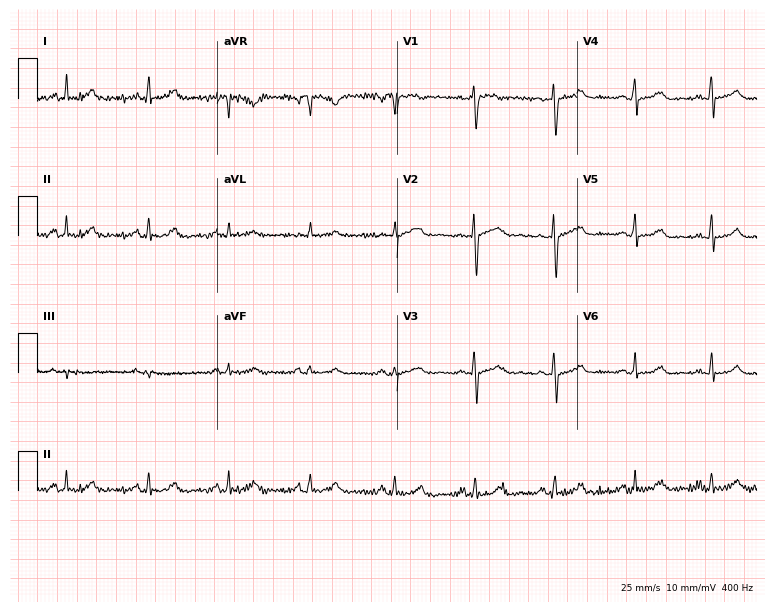
Electrocardiogram, a 32-year-old woman. Overall reading on record: normal ECG.